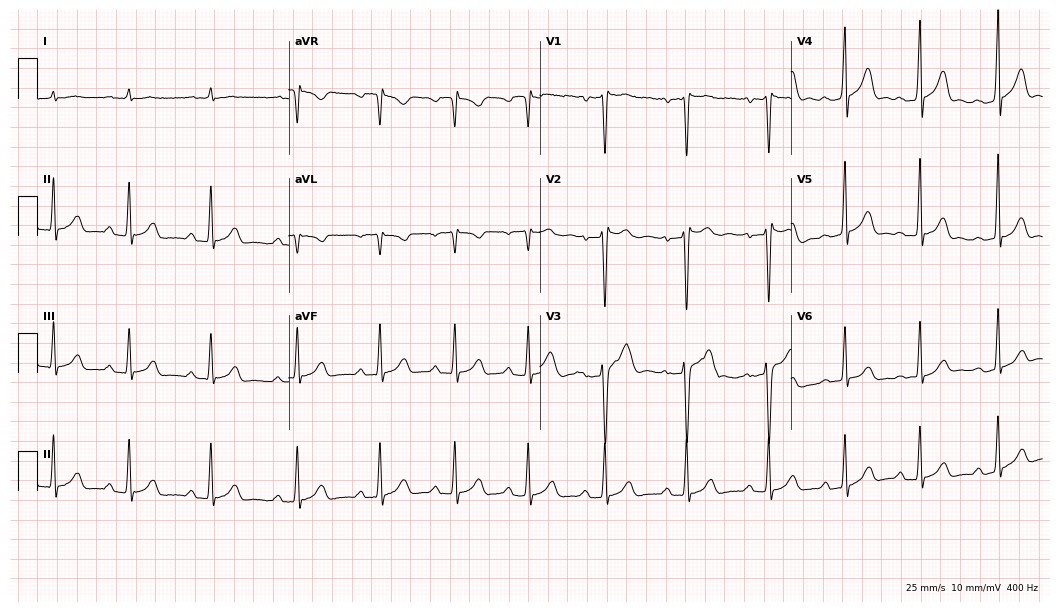
Electrocardiogram (10.2-second recording at 400 Hz), a 17-year-old male patient. Overall reading on record: normal ECG.